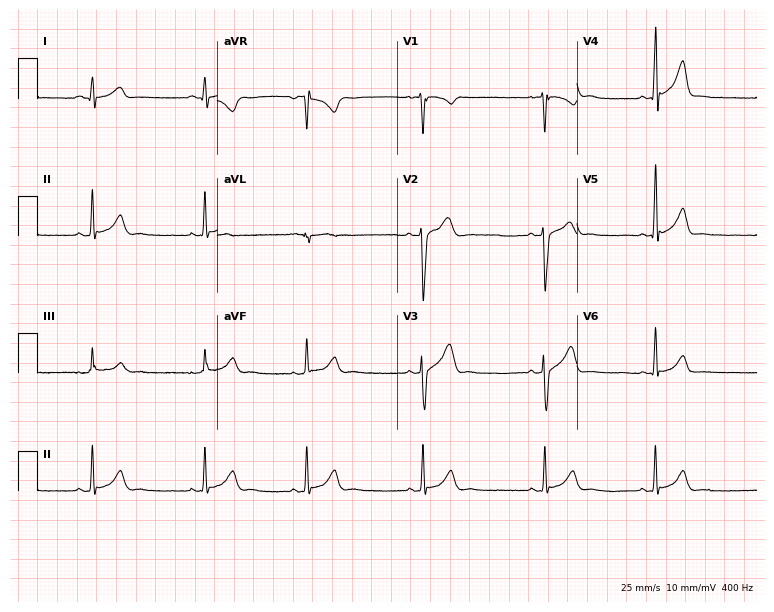
12-lead ECG from a 23-year-old man (7.3-second recording at 400 Hz). No first-degree AV block, right bundle branch block, left bundle branch block, sinus bradycardia, atrial fibrillation or sinus tachycardia recorded for this tracing. Only these six findings were labelled.